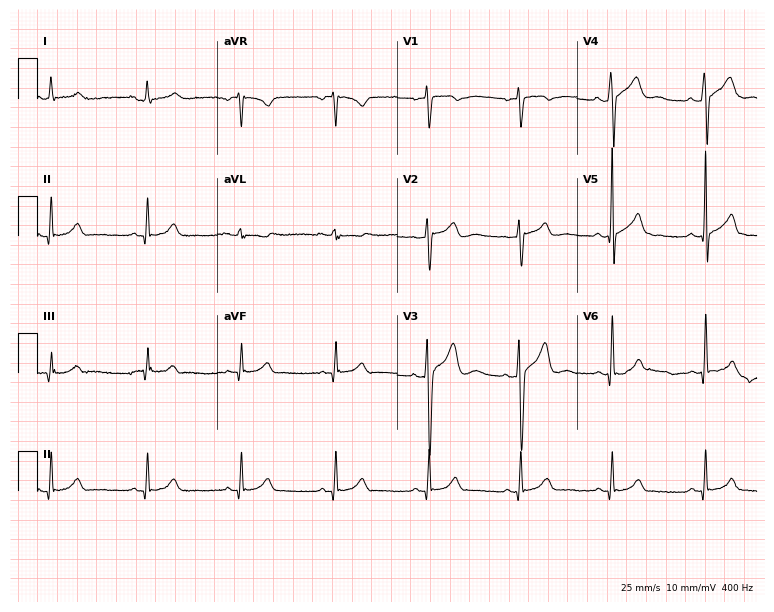
12-lead ECG from a 26-year-old male patient. Labelled as a normal ECG.